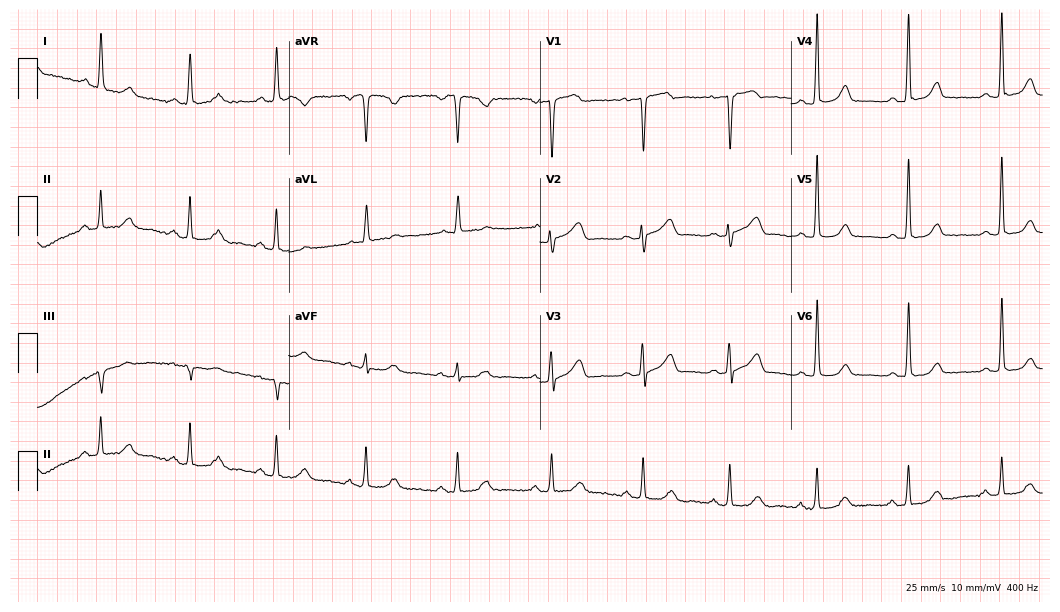
Resting 12-lead electrocardiogram. Patient: a 71-year-old woman. Read as a normal ECG.